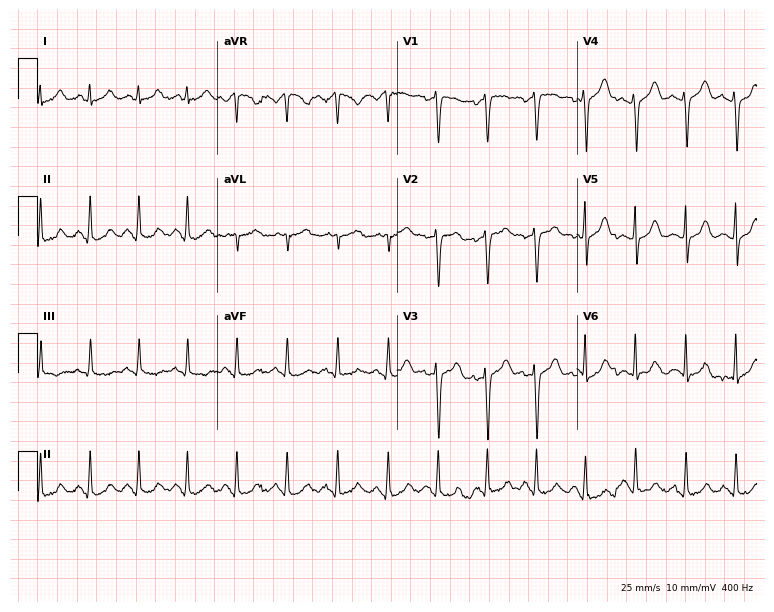
12-lead ECG from a woman, 34 years old. Findings include sinus tachycardia (a sinus rate of 100 beats per minute or more).